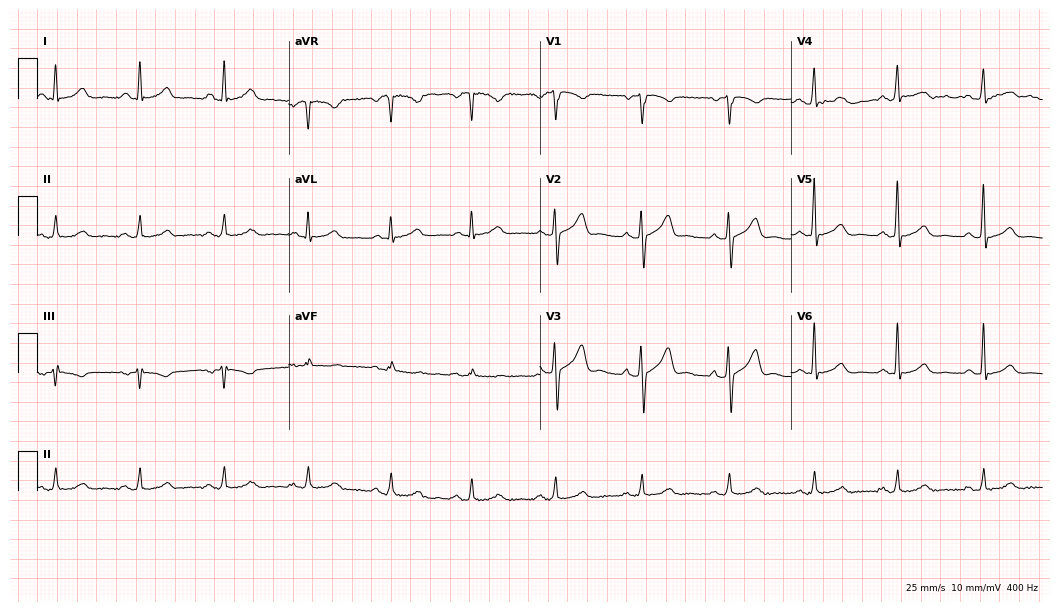
ECG (10.2-second recording at 400 Hz) — a man, 55 years old. Labelled as a normal ECG.